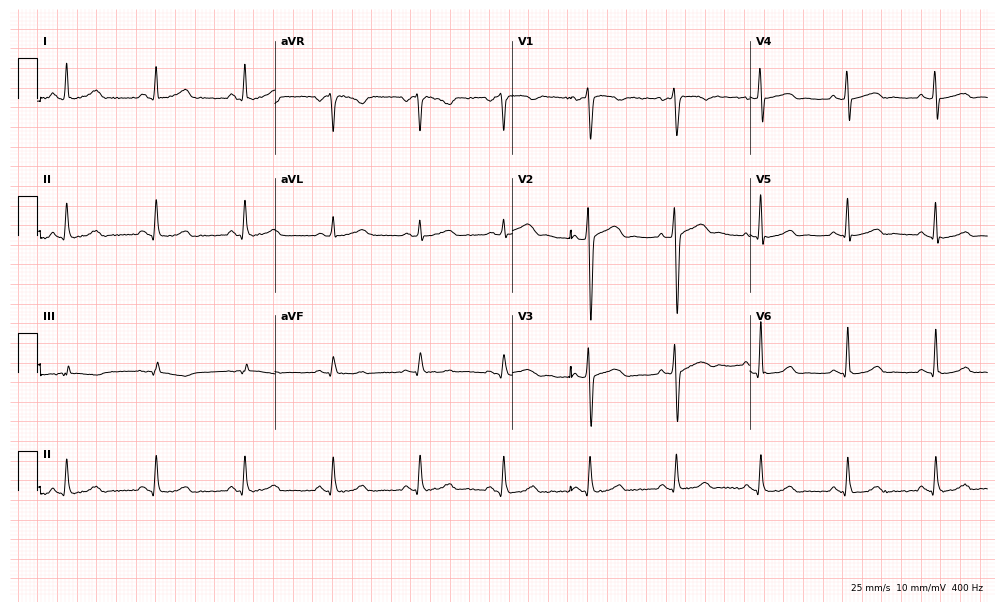
12-lead ECG from a 40-year-old male (9.7-second recording at 400 Hz). Recorded interpretation: within normal limits.